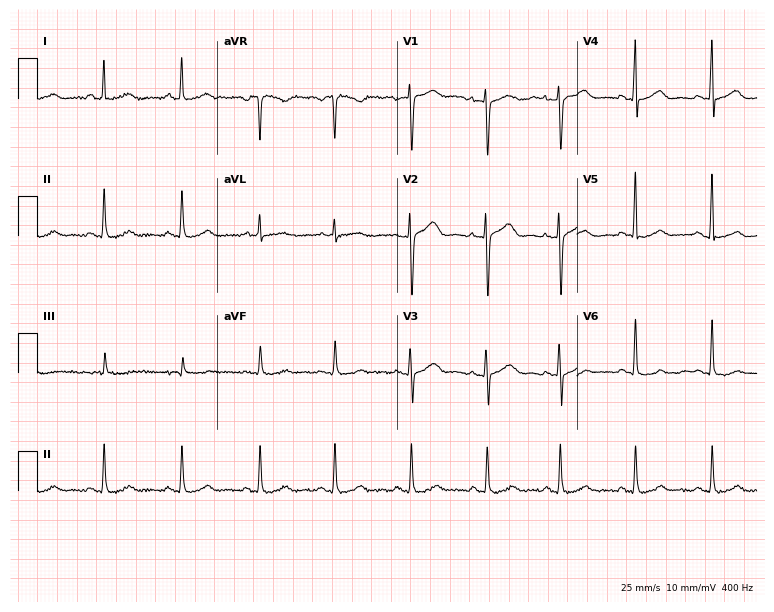
ECG — a female patient, 52 years old. Screened for six findings — first-degree AV block, right bundle branch block (RBBB), left bundle branch block (LBBB), sinus bradycardia, atrial fibrillation (AF), sinus tachycardia — none is recorded. Other findings, if any, are not listed.